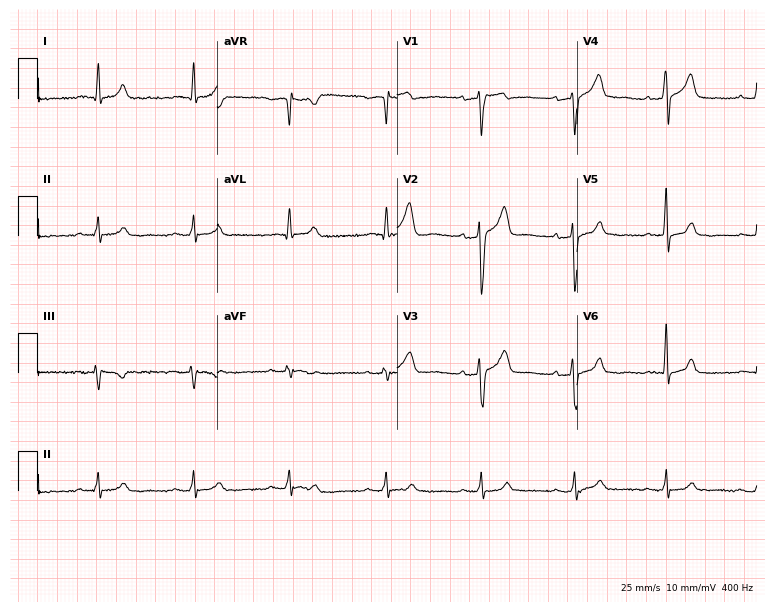
Standard 12-lead ECG recorded from a 64-year-old male (7.3-second recording at 400 Hz). Read as a normal ECG.